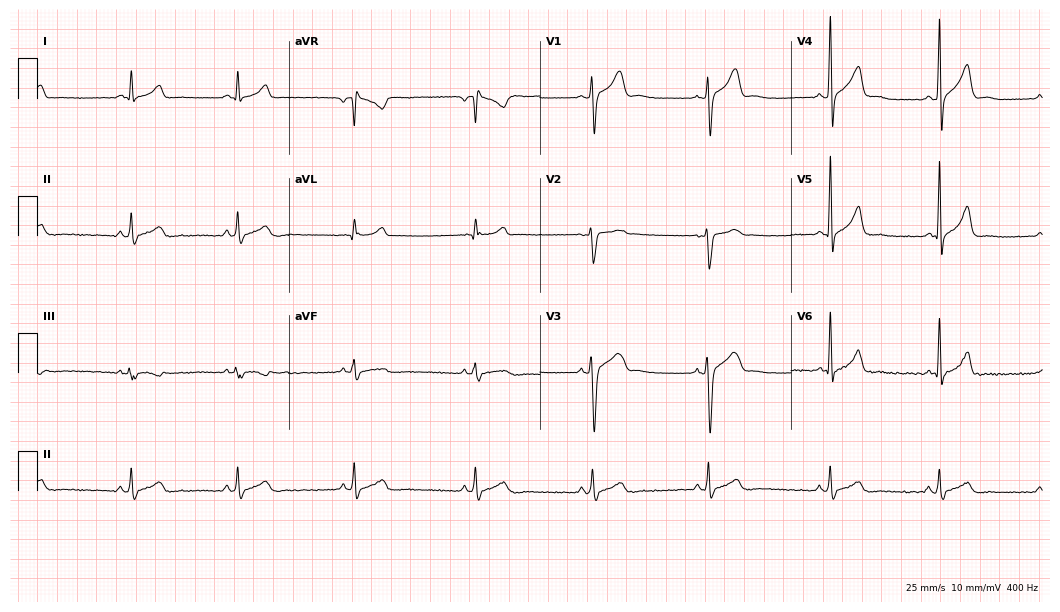
Resting 12-lead electrocardiogram. Patient: a male, 23 years old. Read as a normal ECG.